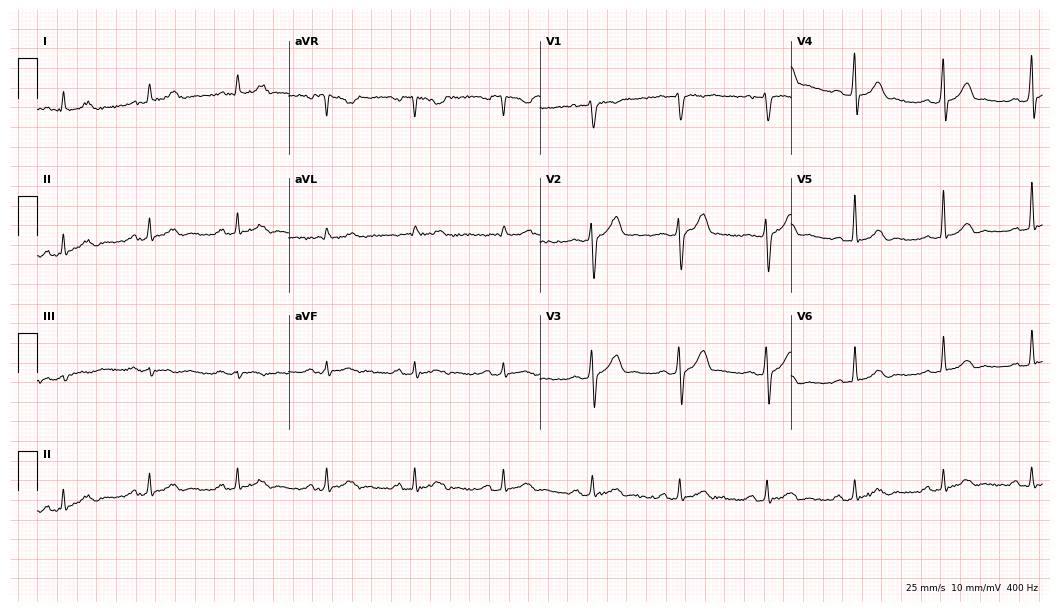
Resting 12-lead electrocardiogram (10.2-second recording at 400 Hz). Patient: a male, 44 years old. Read as a normal ECG.